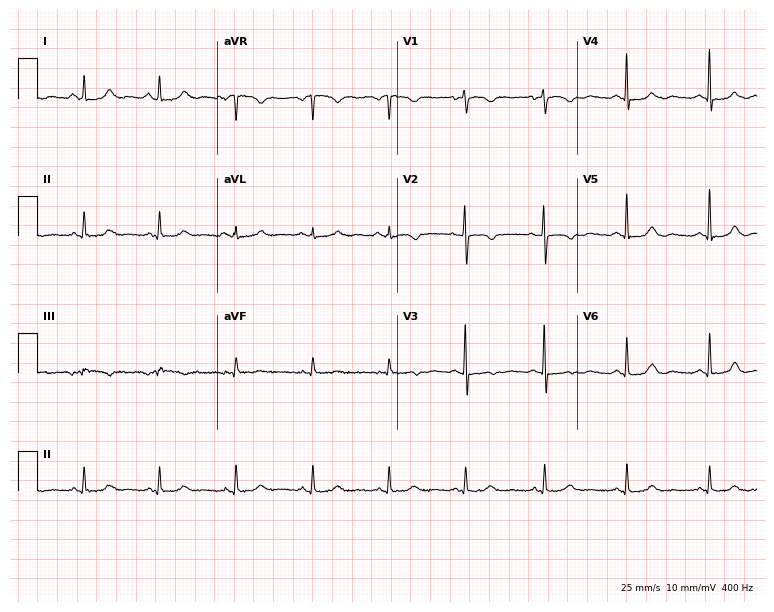
12-lead ECG (7.3-second recording at 400 Hz) from a female, 61 years old. Screened for six findings — first-degree AV block, right bundle branch block (RBBB), left bundle branch block (LBBB), sinus bradycardia, atrial fibrillation (AF), sinus tachycardia — none is recorded. Findings outside these six are not listed.